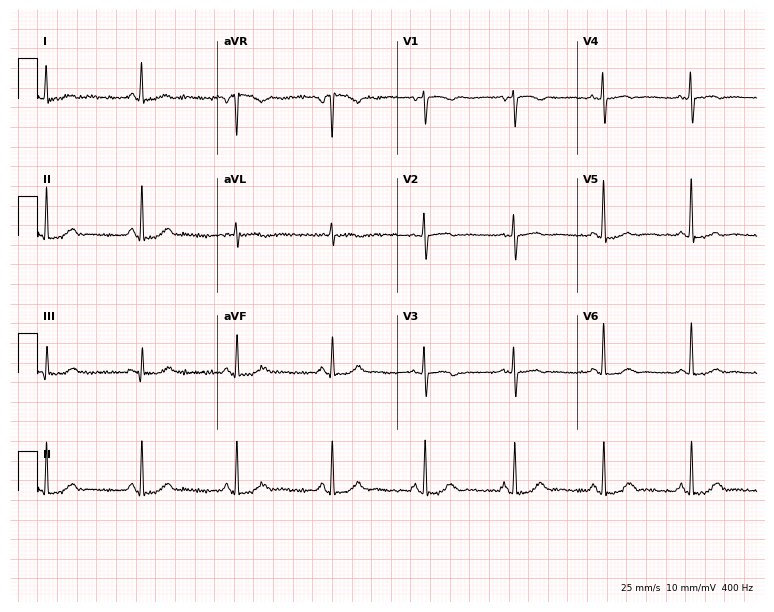
12-lead ECG from a 53-year-old woman. Screened for six findings — first-degree AV block, right bundle branch block, left bundle branch block, sinus bradycardia, atrial fibrillation, sinus tachycardia — none is recorded. Findings outside these six are not listed.